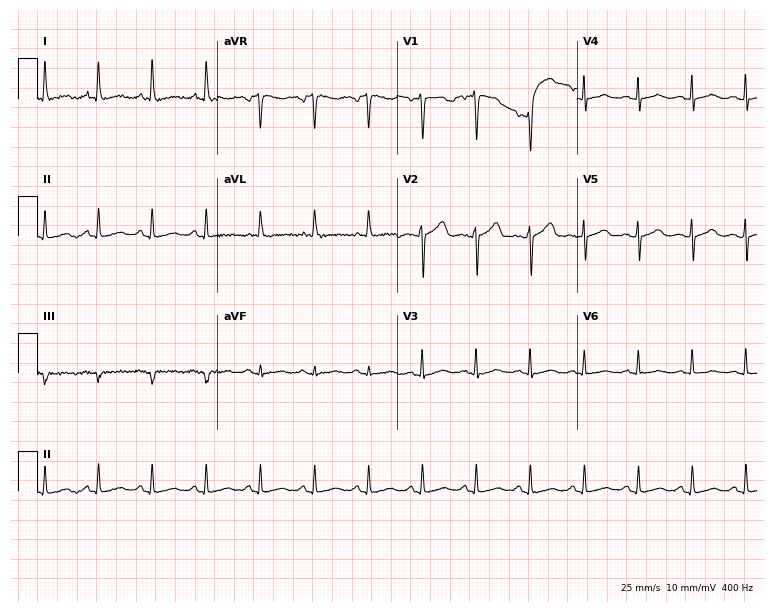
12-lead ECG from a 62-year-old female patient. Screened for six findings — first-degree AV block, right bundle branch block, left bundle branch block, sinus bradycardia, atrial fibrillation, sinus tachycardia — none is recorded.